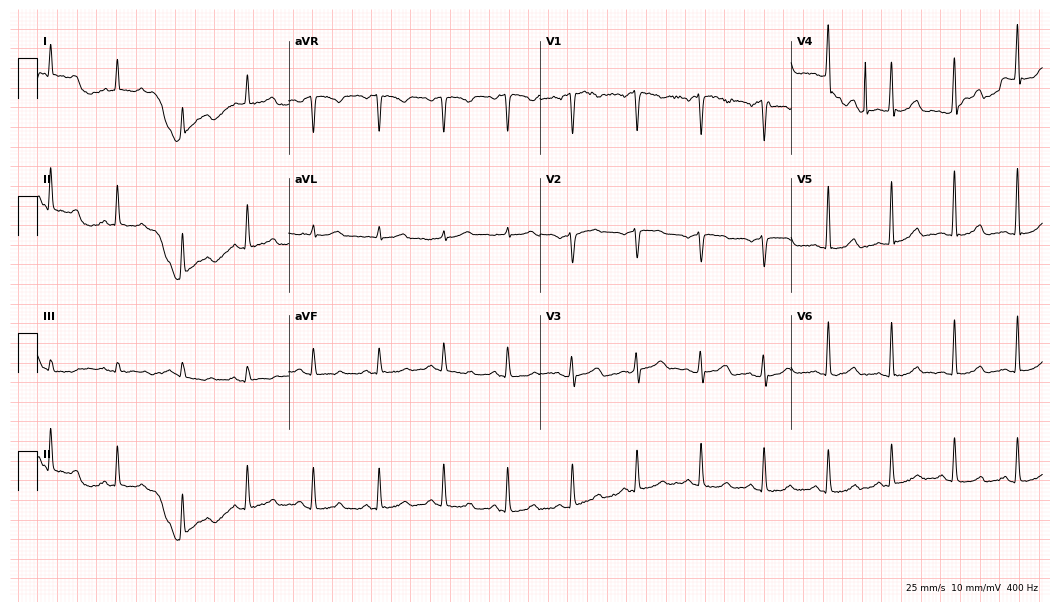
ECG (10.2-second recording at 400 Hz) — a 48-year-old female. Screened for six findings — first-degree AV block, right bundle branch block (RBBB), left bundle branch block (LBBB), sinus bradycardia, atrial fibrillation (AF), sinus tachycardia — none is recorded.